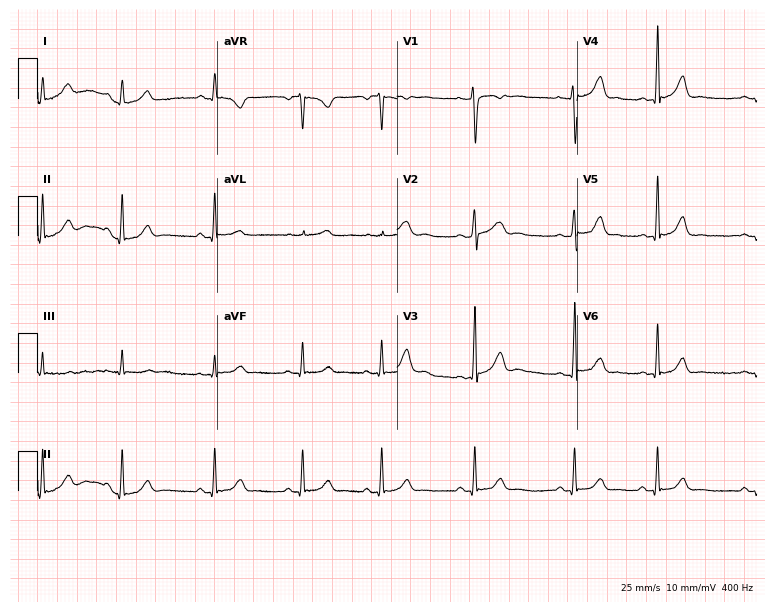
12-lead ECG from a female, 24 years old (7.3-second recording at 400 Hz). Recorded interpretation: within normal limits.